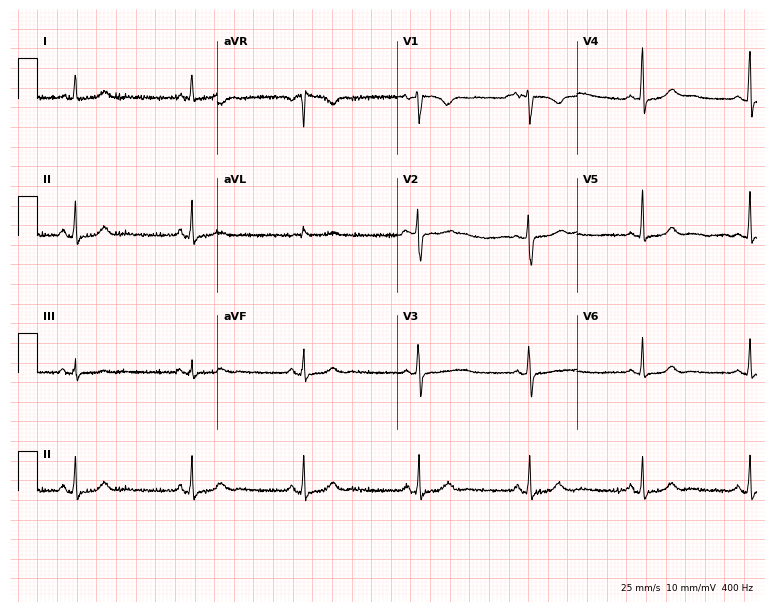
12-lead ECG from a woman, 39 years old (7.3-second recording at 400 Hz). No first-degree AV block, right bundle branch block, left bundle branch block, sinus bradycardia, atrial fibrillation or sinus tachycardia recorded for this tracing. Only these six findings were labelled.